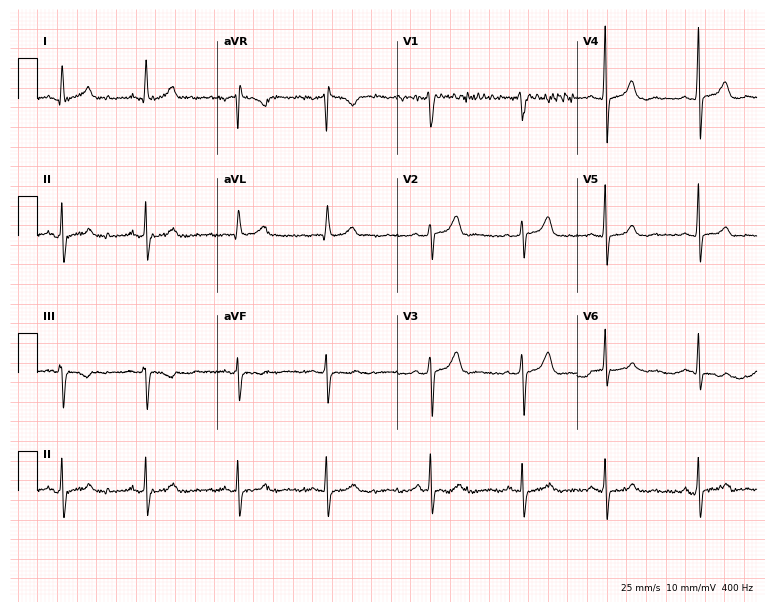
Standard 12-lead ECG recorded from a female patient, 33 years old. Read as a normal ECG.